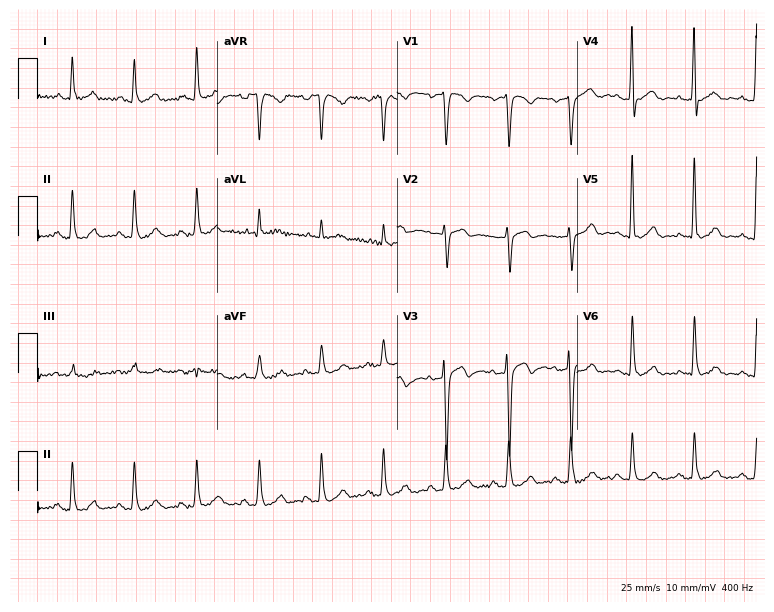
Resting 12-lead electrocardiogram (7.3-second recording at 400 Hz). Patient: a male, 44 years old. None of these six findings is recorded: first-degree AV block, right bundle branch block, left bundle branch block, sinus bradycardia, atrial fibrillation, sinus tachycardia.